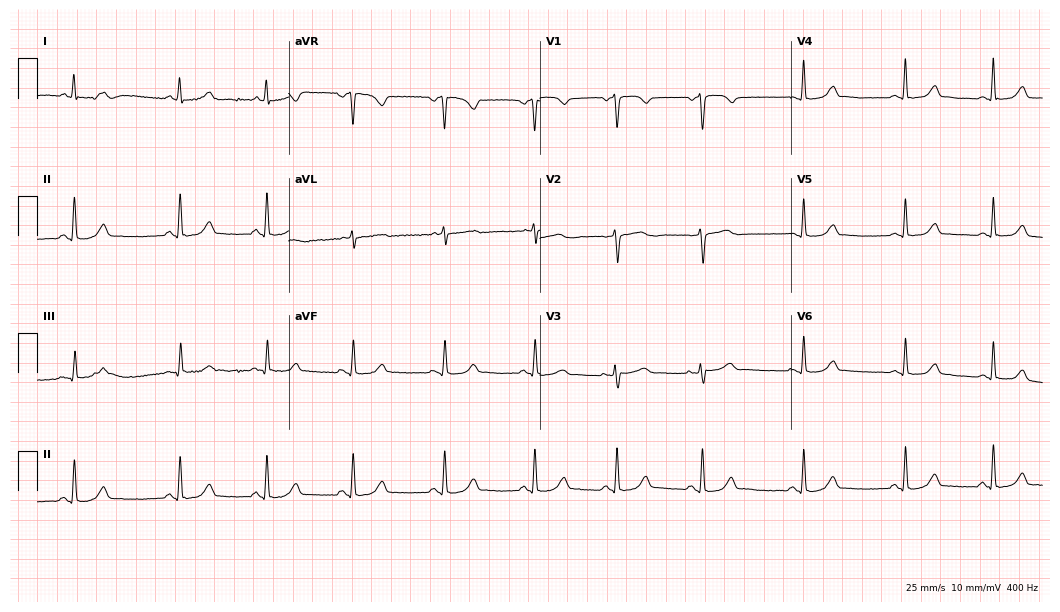
12-lead ECG (10.2-second recording at 400 Hz) from a woman, 37 years old. Labelled as a normal ECG.